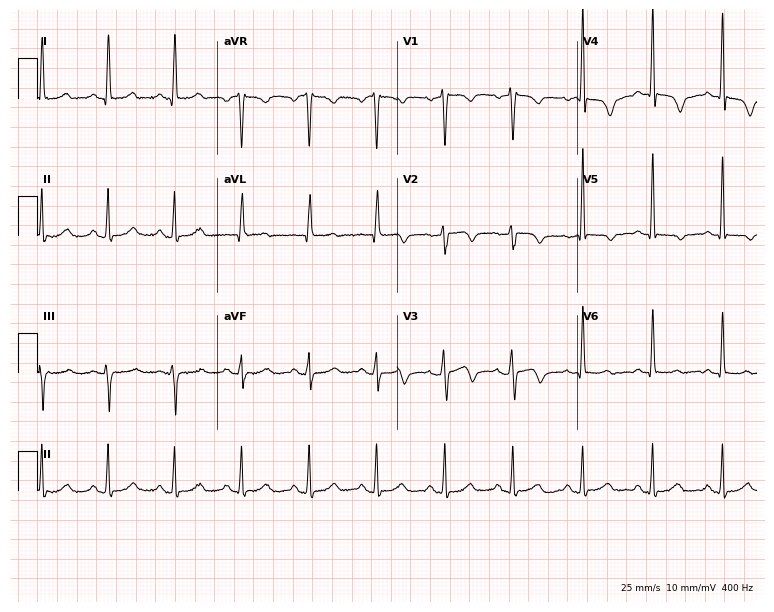
Resting 12-lead electrocardiogram. Patient: a female, 48 years old. None of these six findings is recorded: first-degree AV block, right bundle branch block, left bundle branch block, sinus bradycardia, atrial fibrillation, sinus tachycardia. Findings outside these six are not listed.